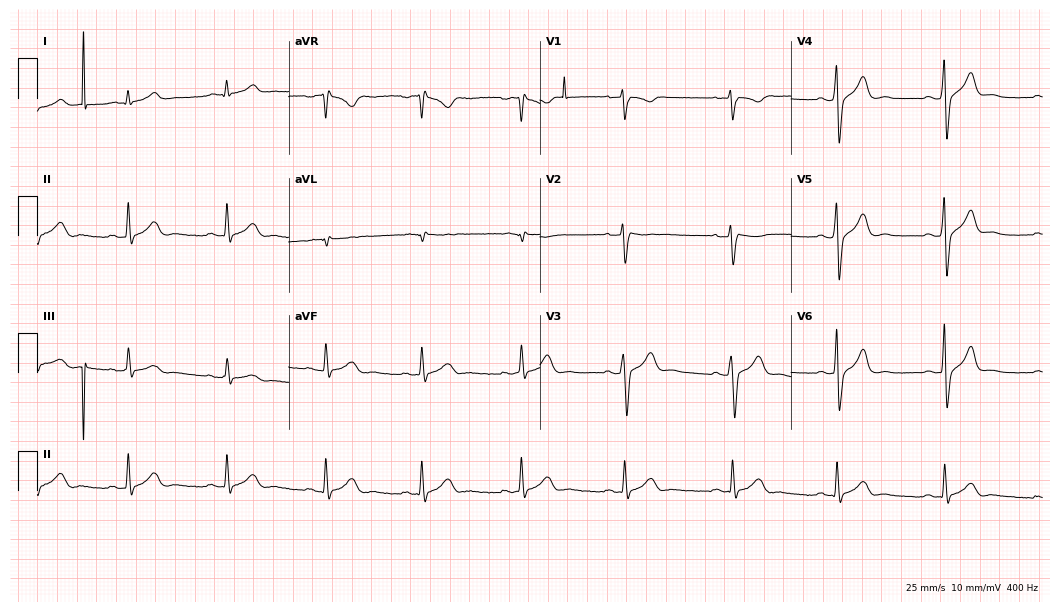
12-lead ECG (10.2-second recording at 400 Hz) from a 36-year-old male. Screened for six findings — first-degree AV block, right bundle branch block, left bundle branch block, sinus bradycardia, atrial fibrillation, sinus tachycardia — none is recorded.